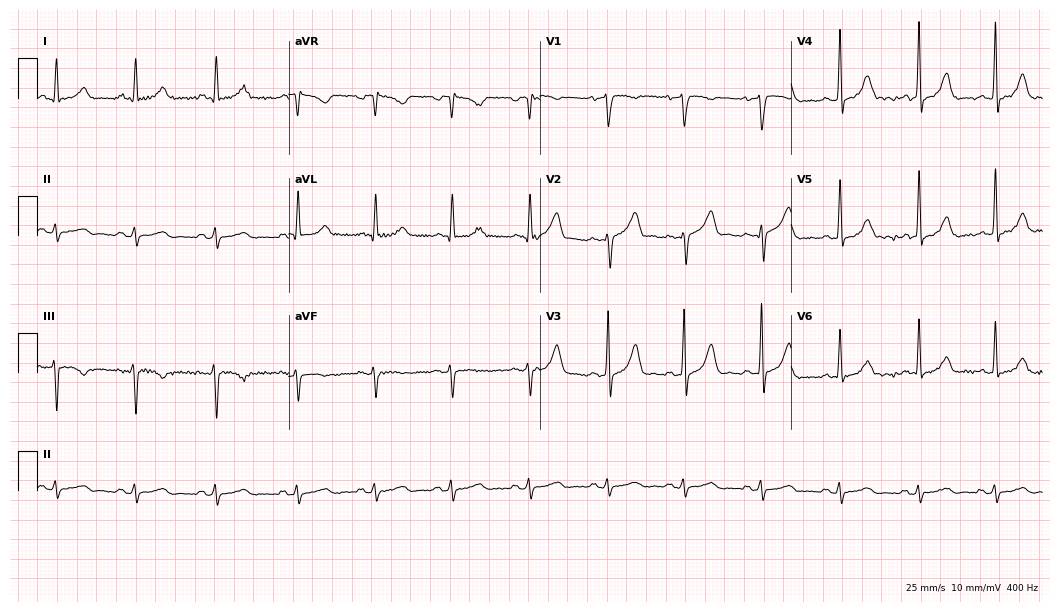
12-lead ECG from a male, 54 years old. Recorded interpretation: within normal limits.